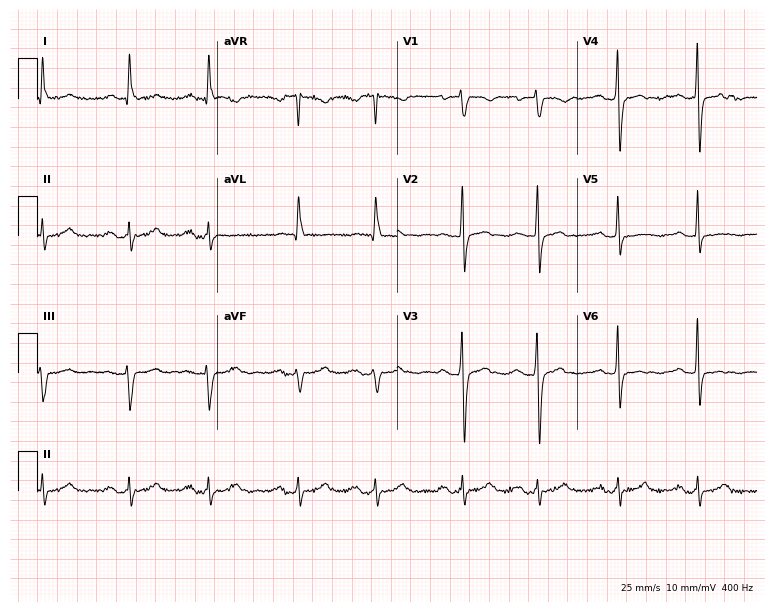
Electrocardiogram, a 78-year-old female patient. Of the six screened findings (first-degree AV block, right bundle branch block, left bundle branch block, sinus bradycardia, atrial fibrillation, sinus tachycardia), none is recorded. Only these six findings were labelled.